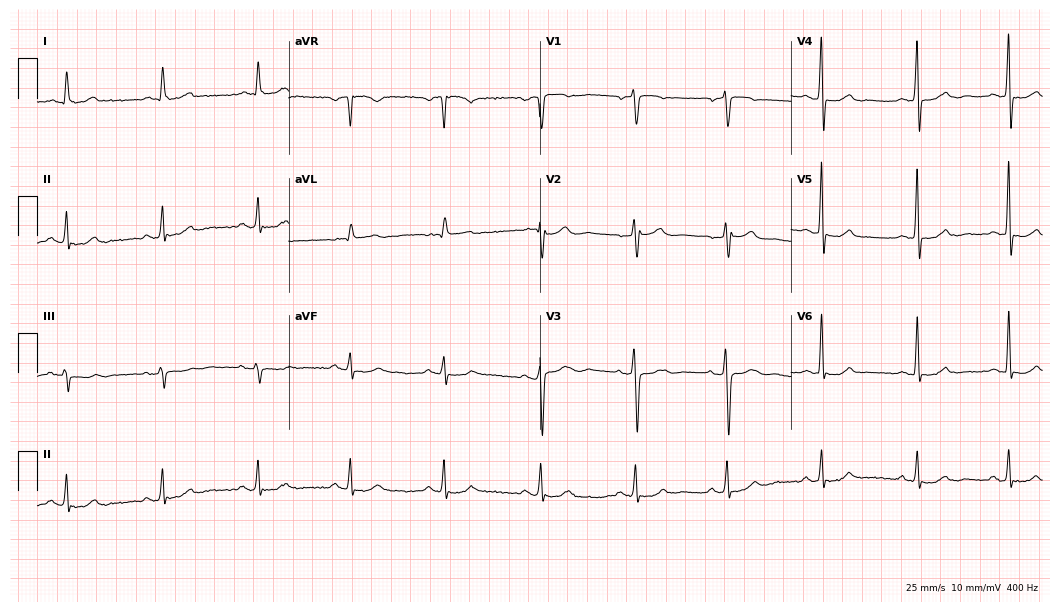
Resting 12-lead electrocardiogram. Patient: a man, 84 years old. Read as a normal ECG.